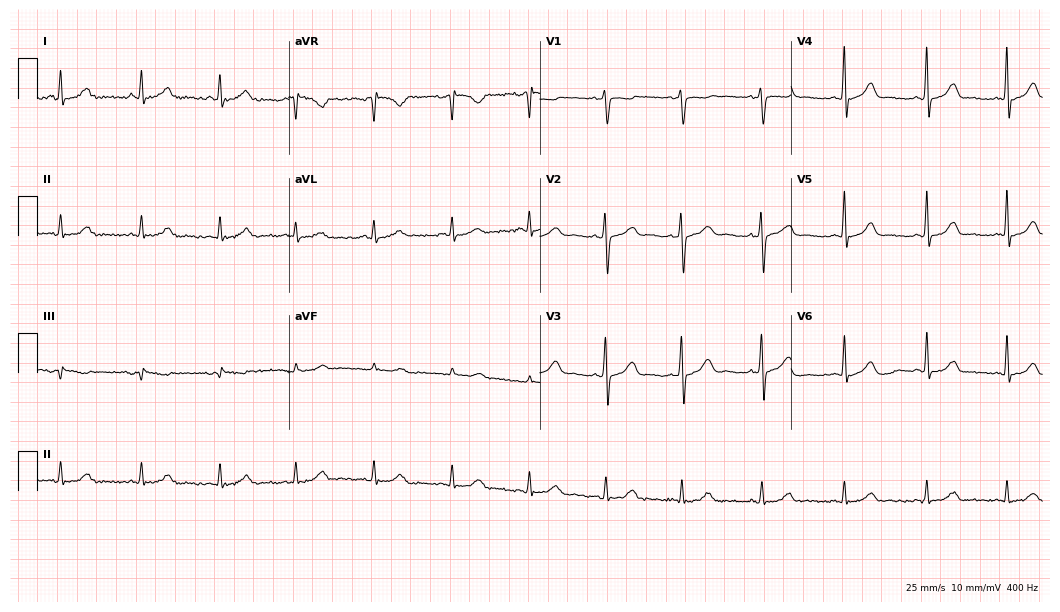
12-lead ECG (10.2-second recording at 400 Hz) from a female patient, 43 years old. Labelled as a normal ECG.